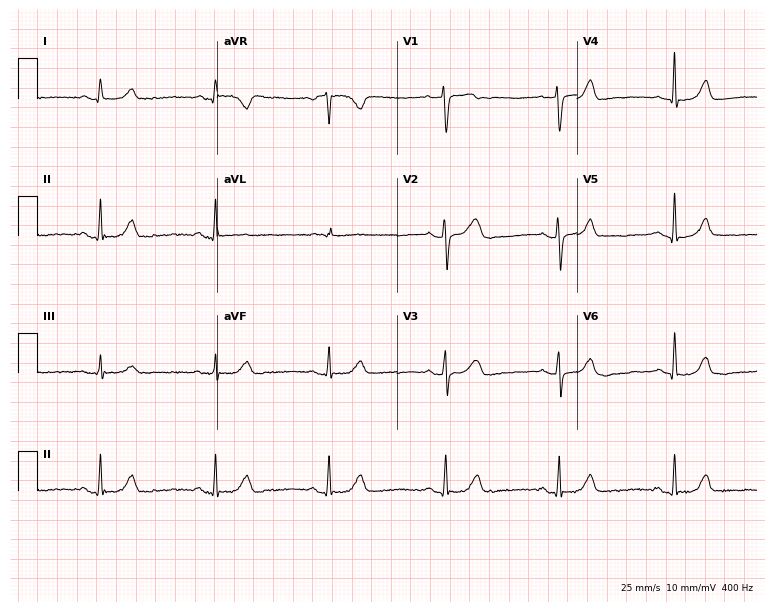
12-lead ECG from a 50-year-old woman. Recorded interpretation: within normal limits.